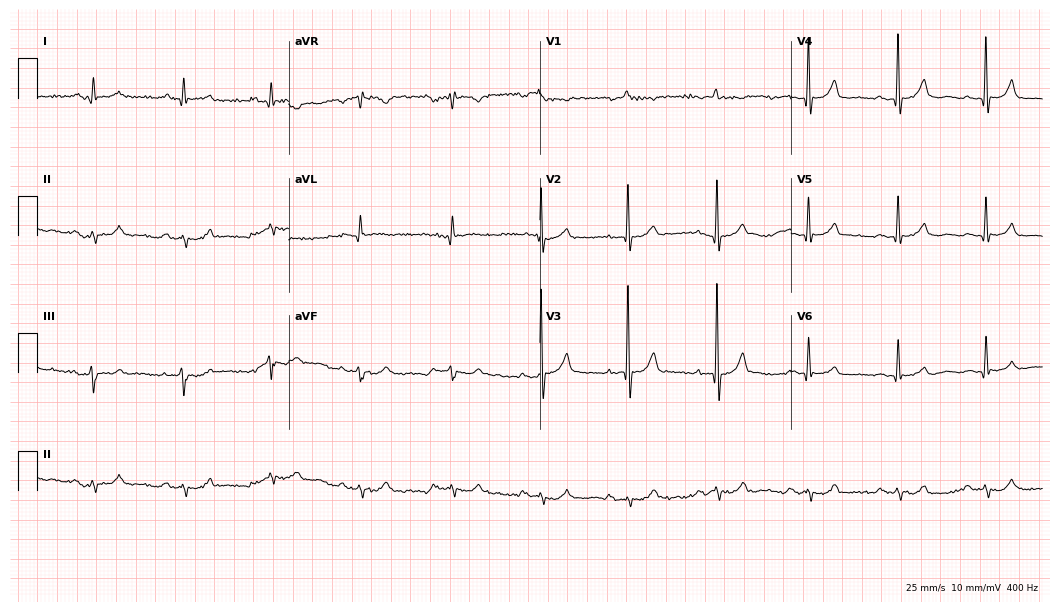
Resting 12-lead electrocardiogram. Patient: an 85-year-old man. Read as a normal ECG.